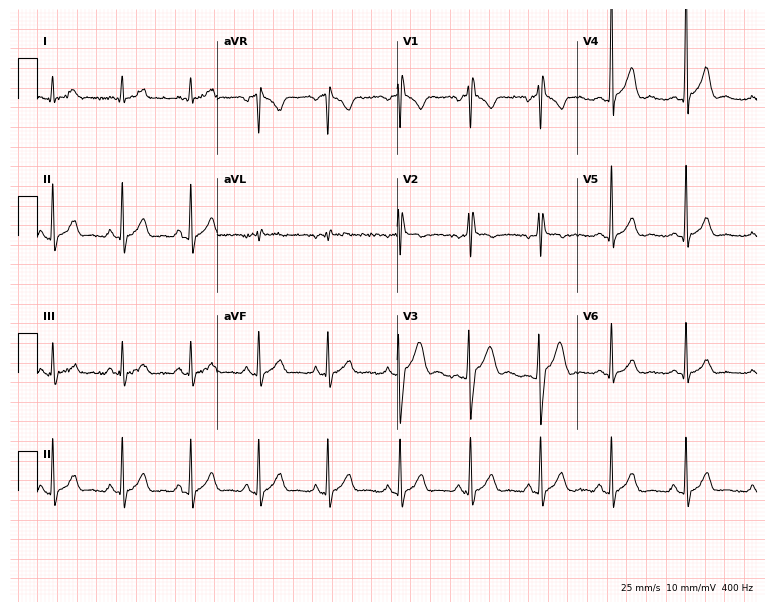
Standard 12-lead ECG recorded from a male patient, 27 years old (7.3-second recording at 400 Hz). None of these six findings is recorded: first-degree AV block, right bundle branch block (RBBB), left bundle branch block (LBBB), sinus bradycardia, atrial fibrillation (AF), sinus tachycardia. Only these six findings were labelled.